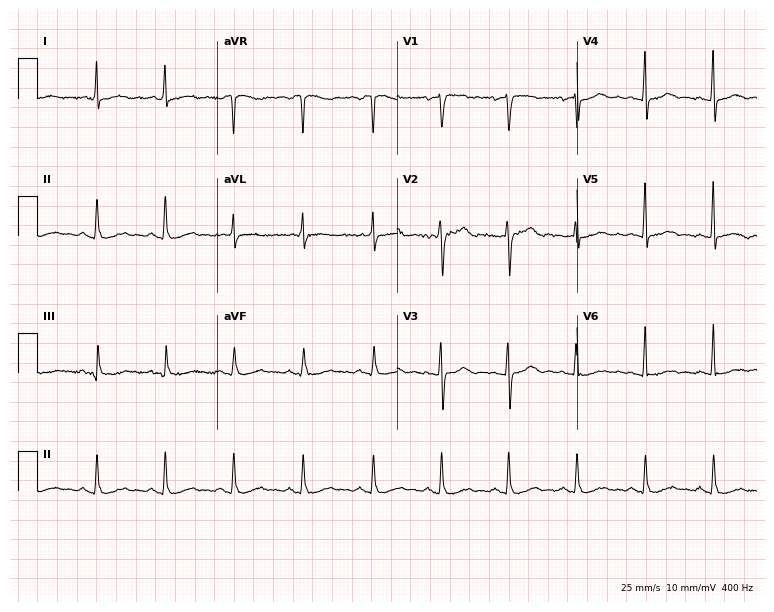
Electrocardiogram (7.3-second recording at 400 Hz), a 59-year-old female. Of the six screened findings (first-degree AV block, right bundle branch block, left bundle branch block, sinus bradycardia, atrial fibrillation, sinus tachycardia), none is recorded.